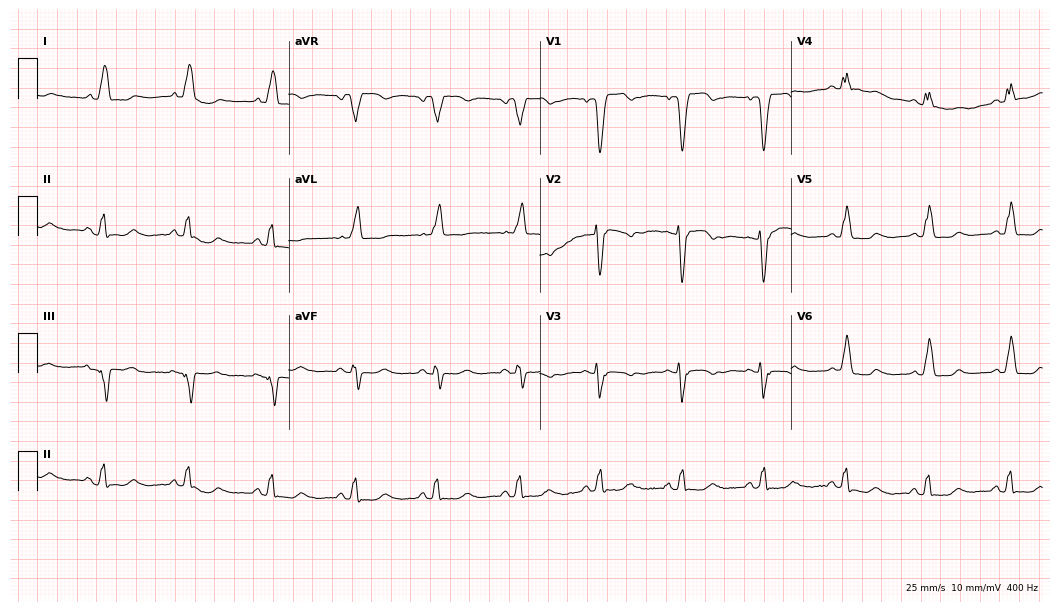
Electrocardiogram (10.2-second recording at 400 Hz), a 78-year-old female patient. Interpretation includes left bundle branch block (LBBB).